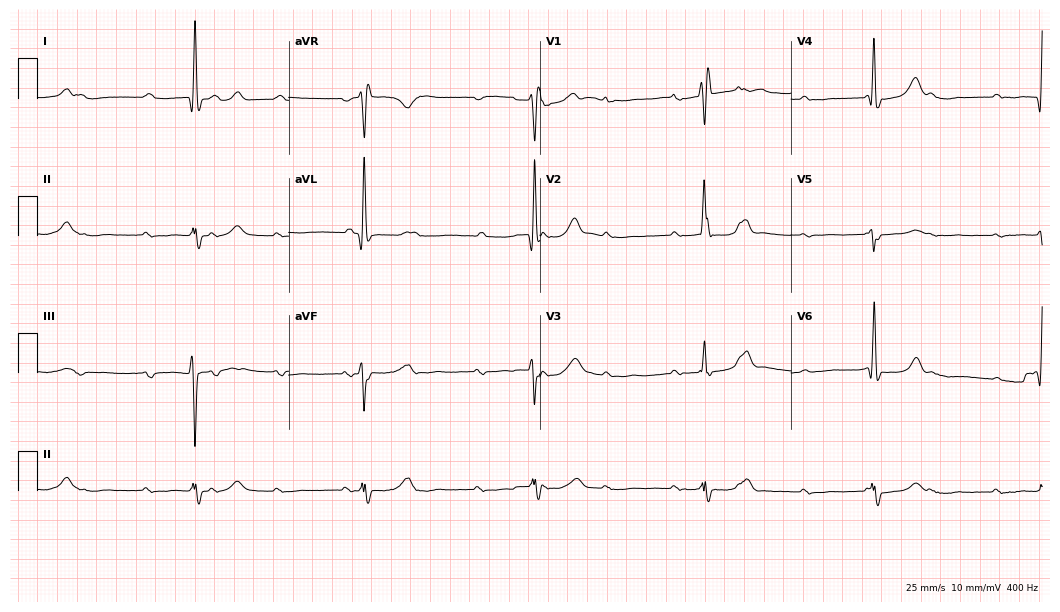
Standard 12-lead ECG recorded from a 65-year-old woman. None of these six findings is recorded: first-degree AV block, right bundle branch block, left bundle branch block, sinus bradycardia, atrial fibrillation, sinus tachycardia. Only these six findings were labelled.